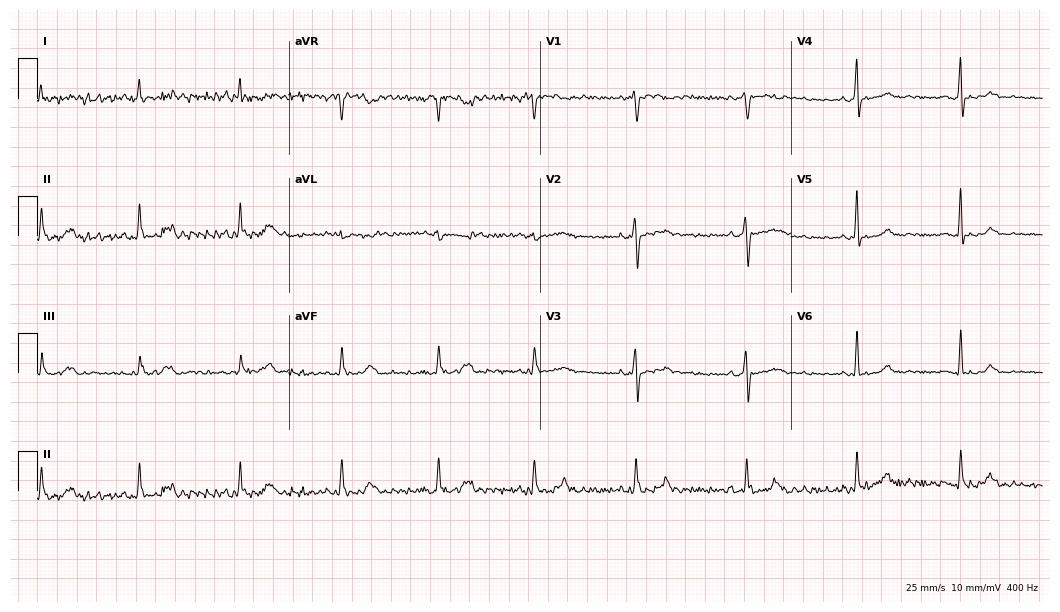
ECG — a 51-year-old female patient. Screened for six findings — first-degree AV block, right bundle branch block (RBBB), left bundle branch block (LBBB), sinus bradycardia, atrial fibrillation (AF), sinus tachycardia — none is recorded.